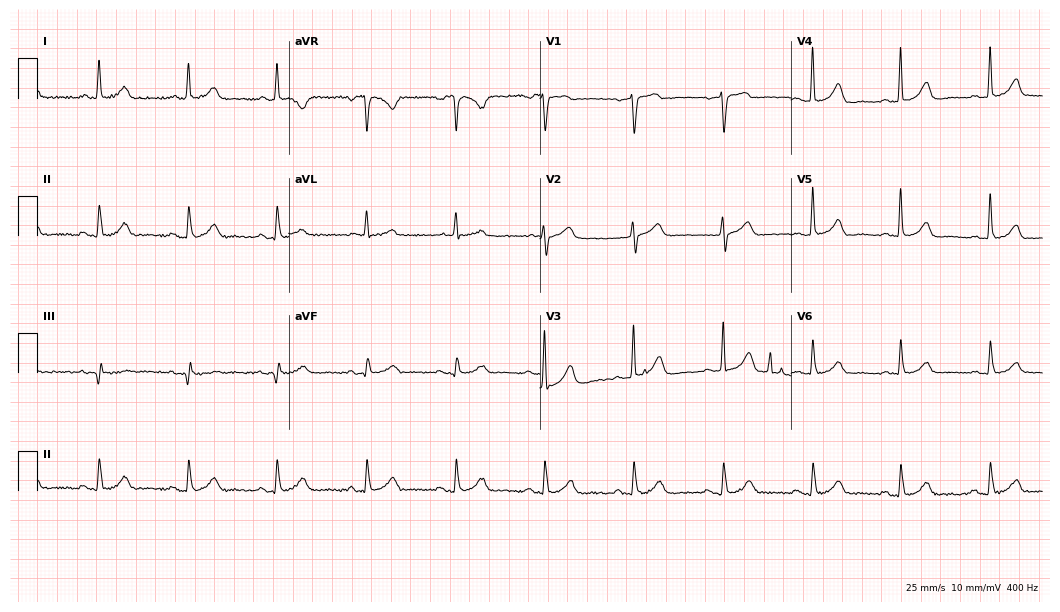
Standard 12-lead ECG recorded from a female patient, 82 years old (10.2-second recording at 400 Hz). Read as a normal ECG.